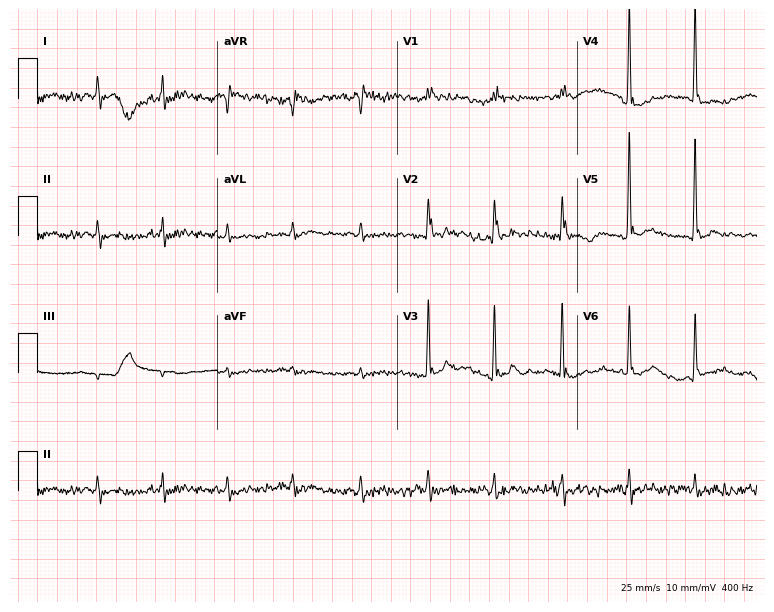
Standard 12-lead ECG recorded from a woman, 62 years old. None of these six findings is recorded: first-degree AV block, right bundle branch block, left bundle branch block, sinus bradycardia, atrial fibrillation, sinus tachycardia.